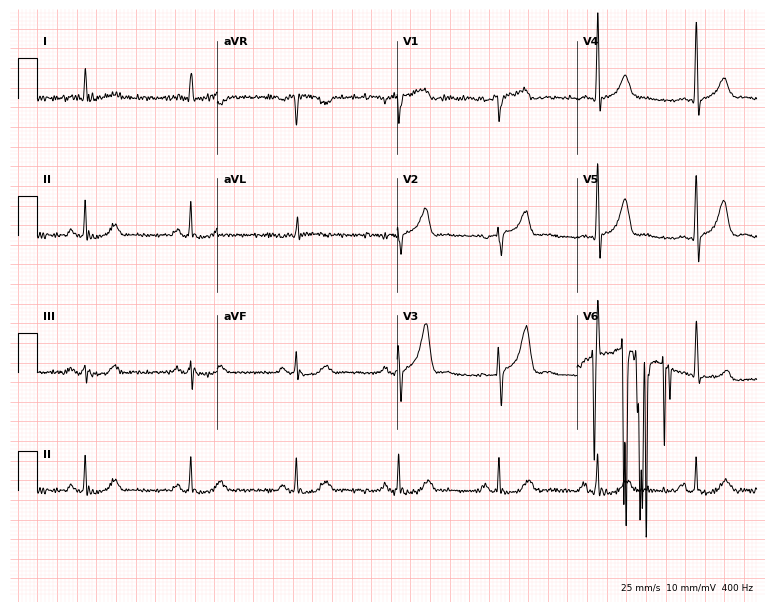
ECG (7.3-second recording at 400 Hz) — a male, 83 years old. Labelled as a normal ECG.